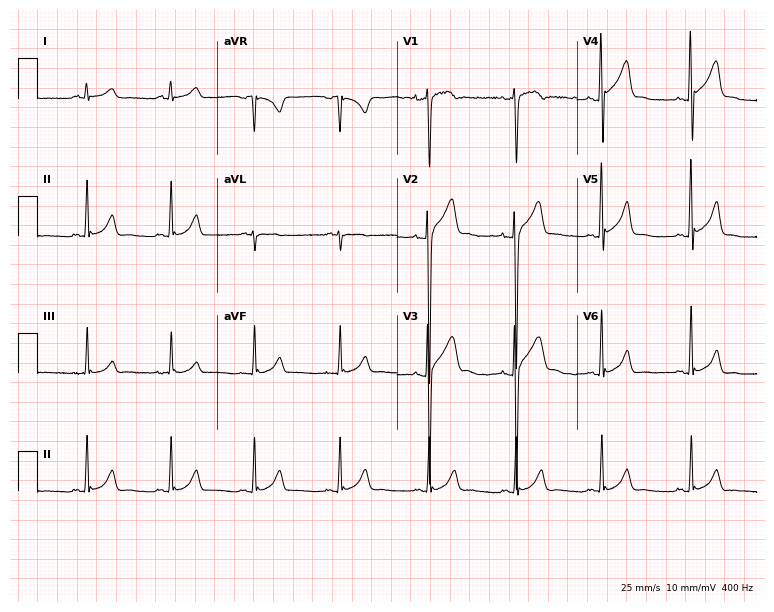
Electrocardiogram (7.3-second recording at 400 Hz), a male patient, 21 years old. Of the six screened findings (first-degree AV block, right bundle branch block (RBBB), left bundle branch block (LBBB), sinus bradycardia, atrial fibrillation (AF), sinus tachycardia), none is recorded.